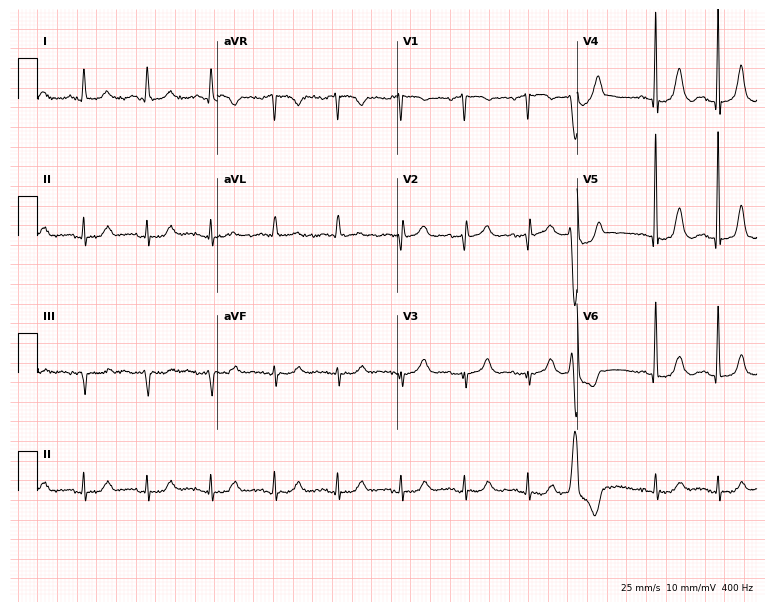
ECG — a female, 80 years old. Labelled as a normal ECG.